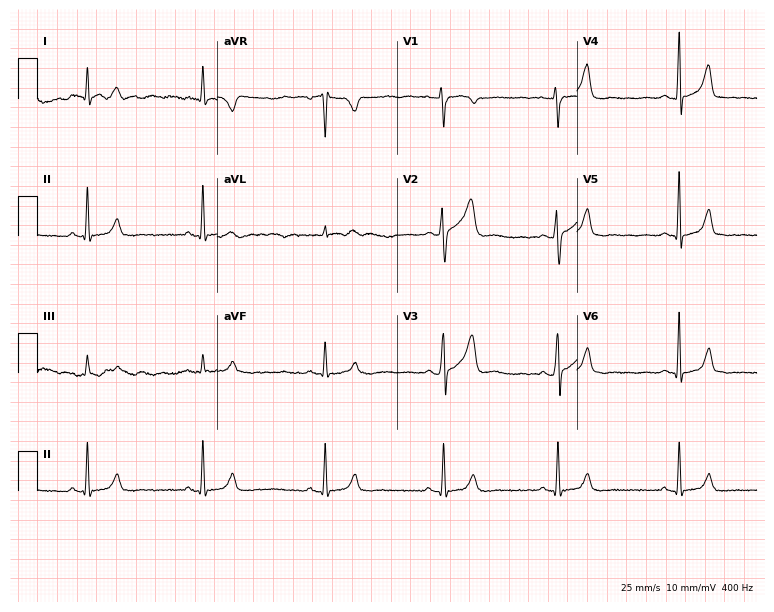
ECG (7.3-second recording at 400 Hz) — a 37-year-old male patient. Screened for six findings — first-degree AV block, right bundle branch block, left bundle branch block, sinus bradycardia, atrial fibrillation, sinus tachycardia — none is recorded.